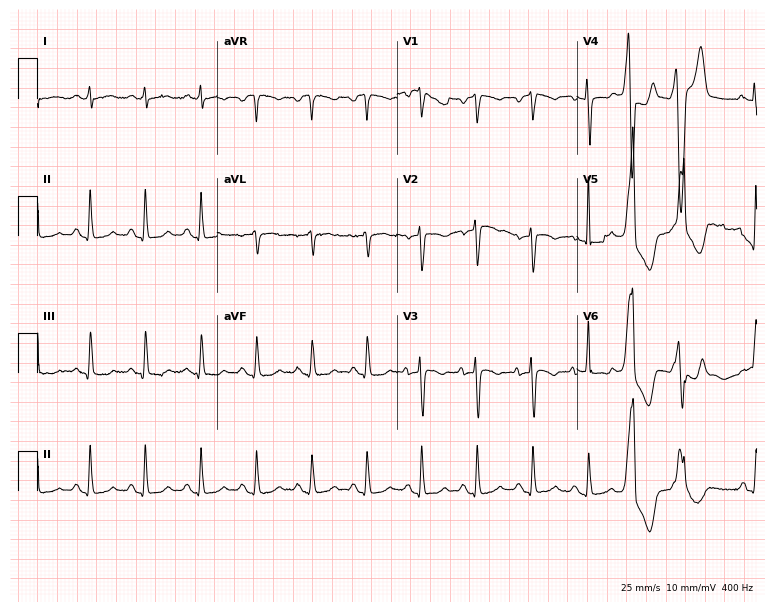
Electrocardiogram (7.3-second recording at 400 Hz), a female, 84 years old. Of the six screened findings (first-degree AV block, right bundle branch block (RBBB), left bundle branch block (LBBB), sinus bradycardia, atrial fibrillation (AF), sinus tachycardia), none is recorded.